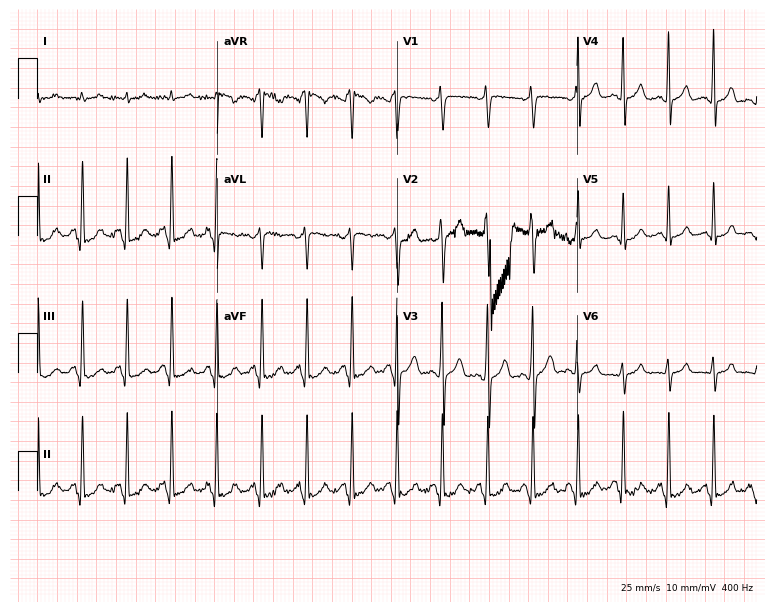
12-lead ECG from a 53-year-old male patient (7.3-second recording at 400 Hz). Shows sinus tachycardia (a sinus rate of 100 beats per minute or more).